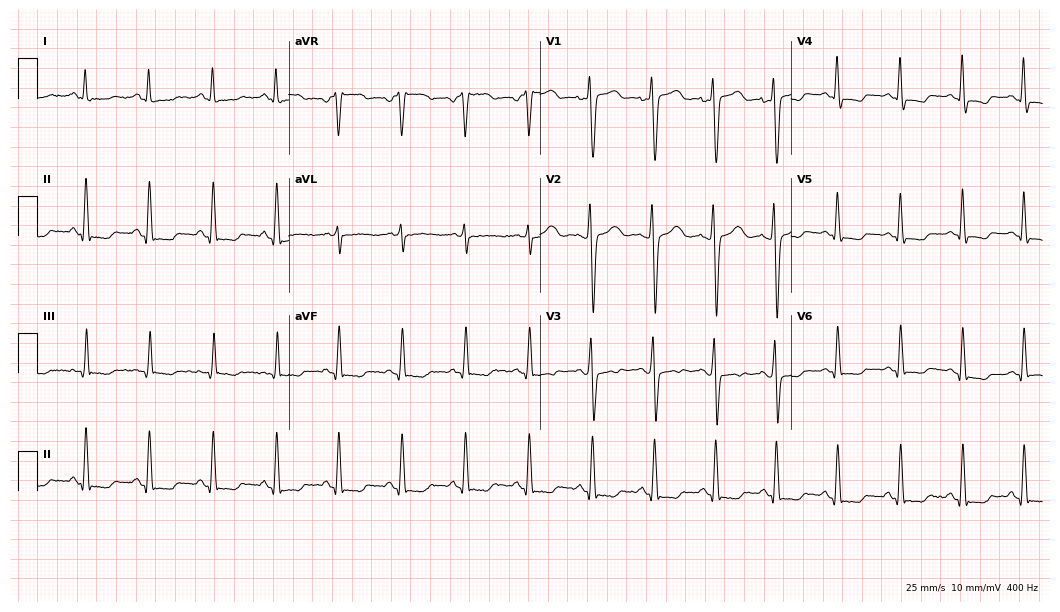
Electrocardiogram (10.2-second recording at 400 Hz), a female, 24 years old. Of the six screened findings (first-degree AV block, right bundle branch block, left bundle branch block, sinus bradycardia, atrial fibrillation, sinus tachycardia), none is recorded. Findings outside these six are not listed.